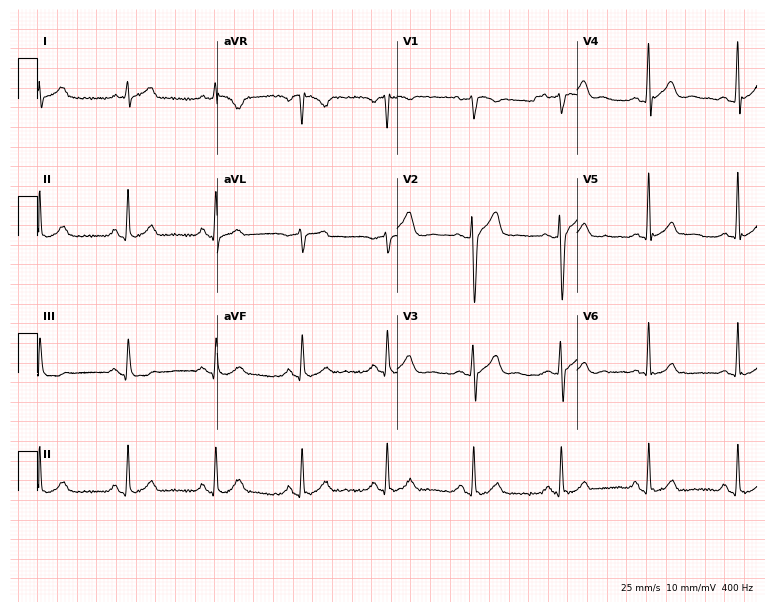
12-lead ECG from a 38-year-old male. No first-degree AV block, right bundle branch block, left bundle branch block, sinus bradycardia, atrial fibrillation or sinus tachycardia recorded for this tracing.